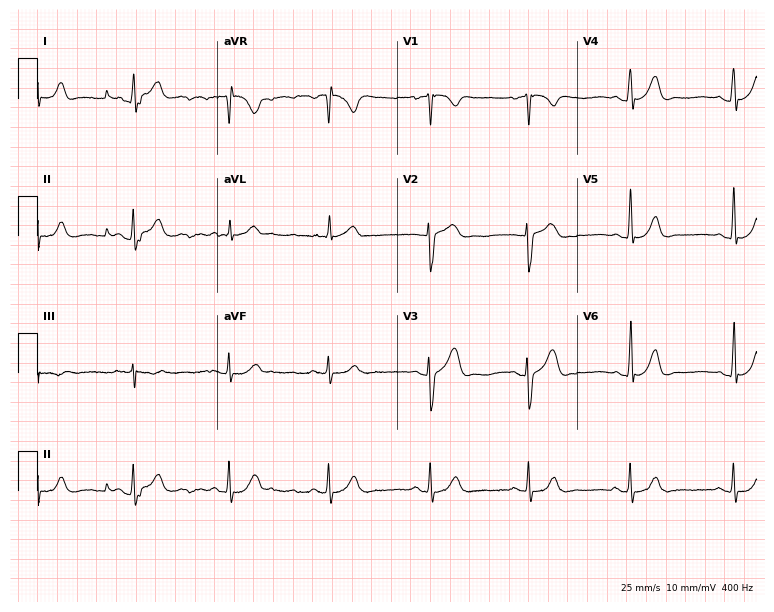
Electrocardiogram (7.3-second recording at 400 Hz), a 27-year-old male patient. Overall reading on record: normal ECG.